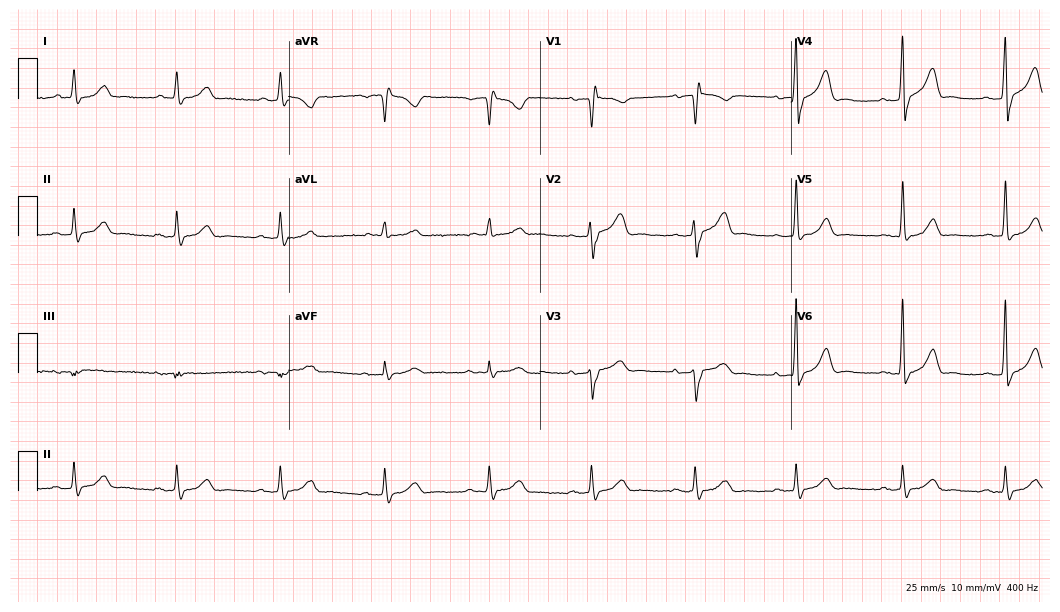
12-lead ECG (10.2-second recording at 400 Hz) from a male, 64 years old. Screened for six findings — first-degree AV block, right bundle branch block, left bundle branch block, sinus bradycardia, atrial fibrillation, sinus tachycardia — none is recorded. Other findings, if any, are not listed.